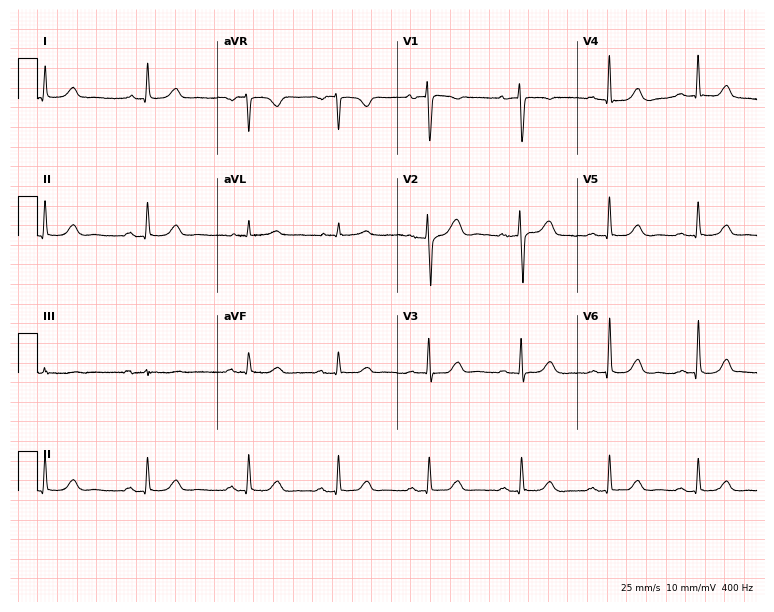
12-lead ECG from a female patient, 62 years old (7.3-second recording at 400 Hz). No first-degree AV block, right bundle branch block, left bundle branch block, sinus bradycardia, atrial fibrillation or sinus tachycardia recorded for this tracing.